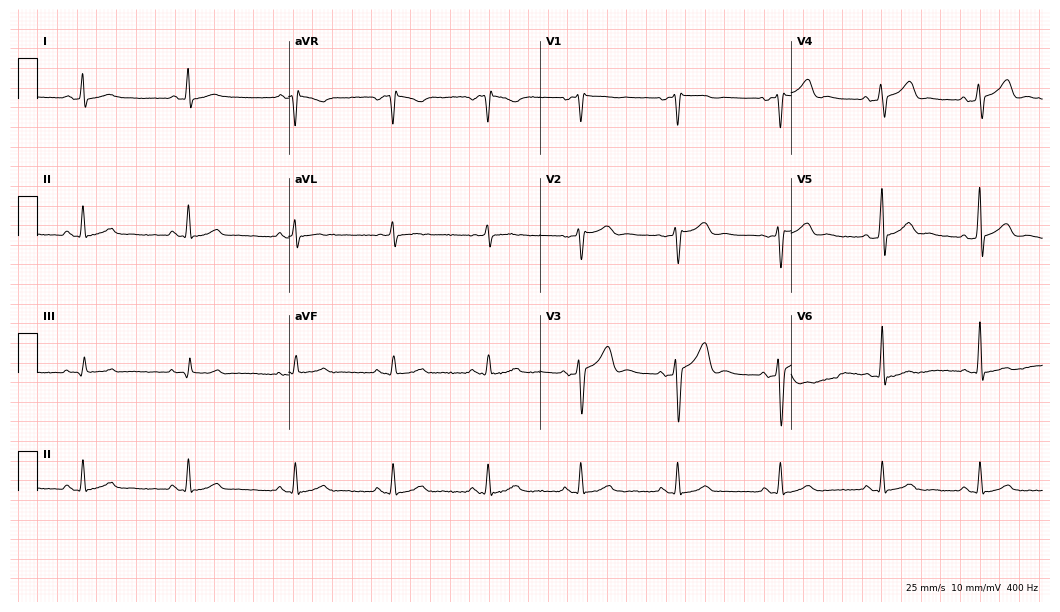
Standard 12-lead ECG recorded from a male patient, 37 years old. Read as a normal ECG.